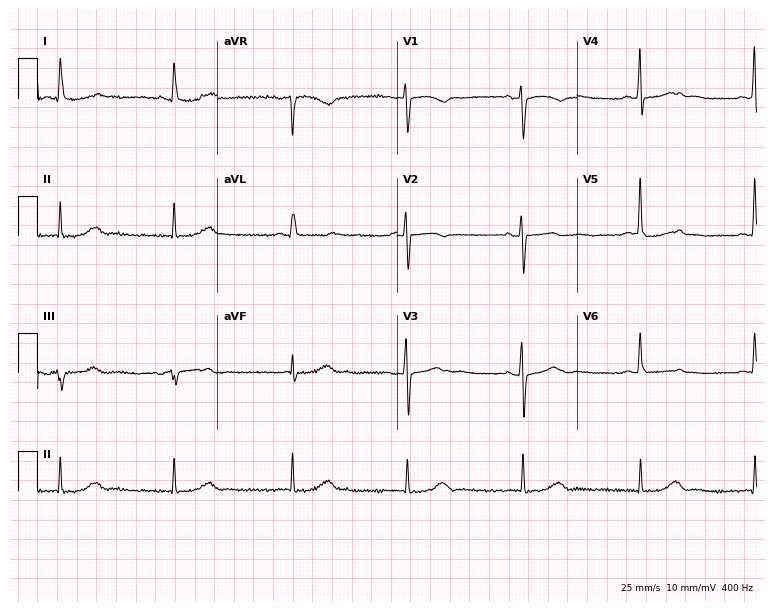
Standard 12-lead ECG recorded from an 84-year-old woman. None of these six findings is recorded: first-degree AV block, right bundle branch block (RBBB), left bundle branch block (LBBB), sinus bradycardia, atrial fibrillation (AF), sinus tachycardia.